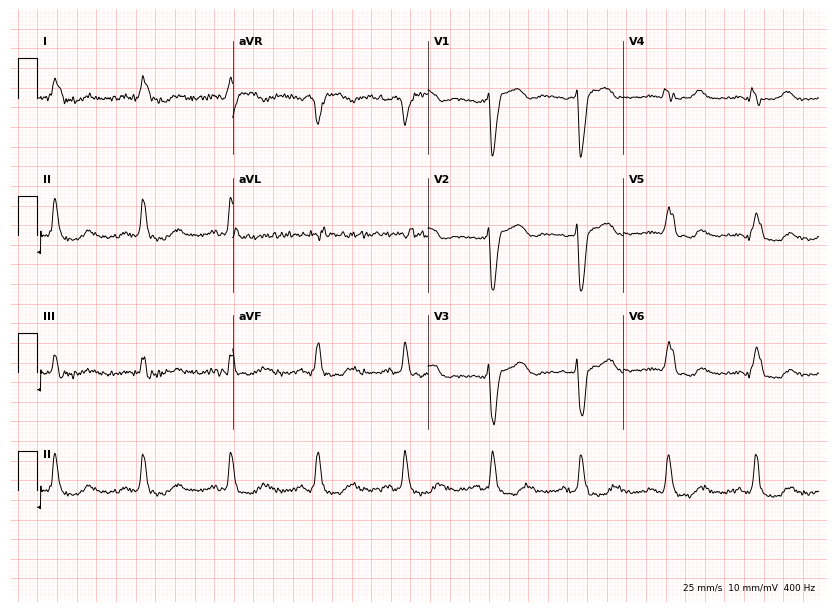
Standard 12-lead ECG recorded from an 85-year-old woman. None of these six findings is recorded: first-degree AV block, right bundle branch block, left bundle branch block, sinus bradycardia, atrial fibrillation, sinus tachycardia. Findings outside these six are not listed.